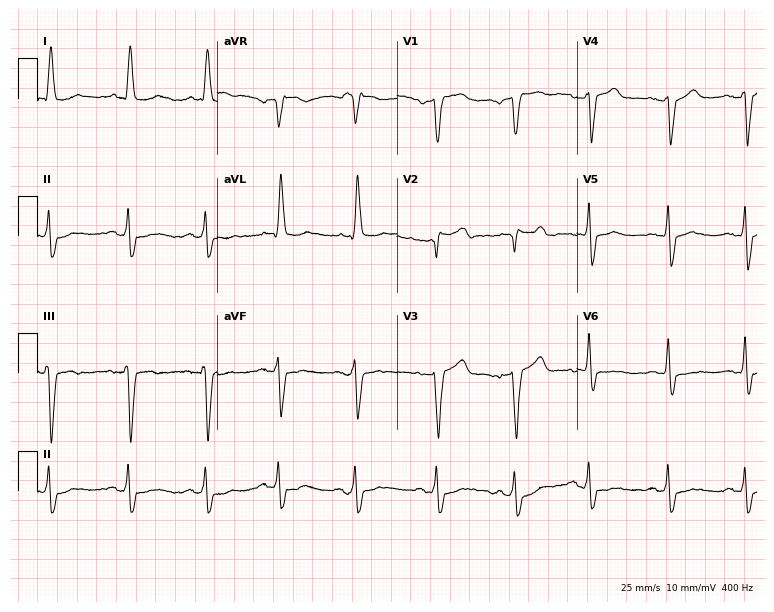
Standard 12-lead ECG recorded from a female, 73 years old (7.3-second recording at 400 Hz). None of these six findings is recorded: first-degree AV block, right bundle branch block (RBBB), left bundle branch block (LBBB), sinus bradycardia, atrial fibrillation (AF), sinus tachycardia.